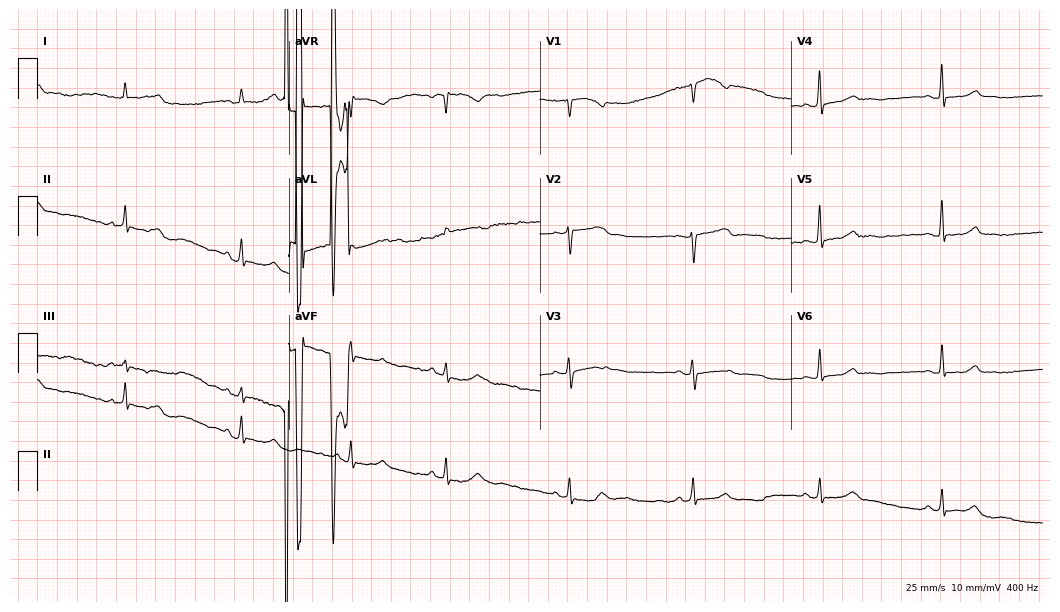
12-lead ECG from a 49-year-old female (10.2-second recording at 400 Hz). No first-degree AV block, right bundle branch block, left bundle branch block, sinus bradycardia, atrial fibrillation or sinus tachycardia recorded for this tracing. Other findings, if any, are not listed.